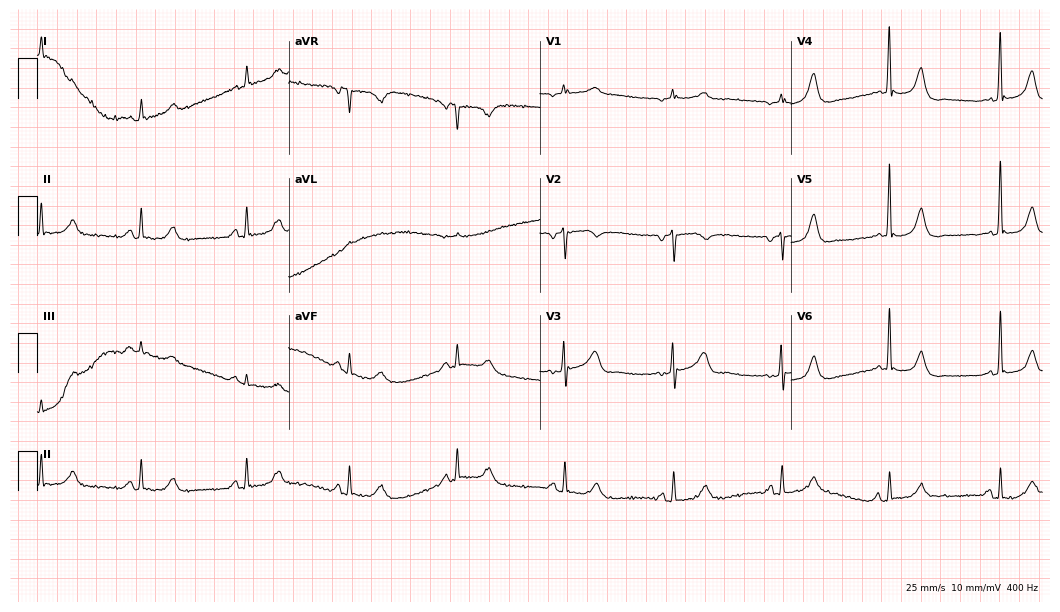
Electrocardiogram, a female patient, 84 years old. Of the six screened findings (first-degree AV block, right bundle branch block (RBBB), left bundle branch block (LBBB), sinus bradycardia, atrial fibrillation (AF), sinus tachycardia), none is recorded.